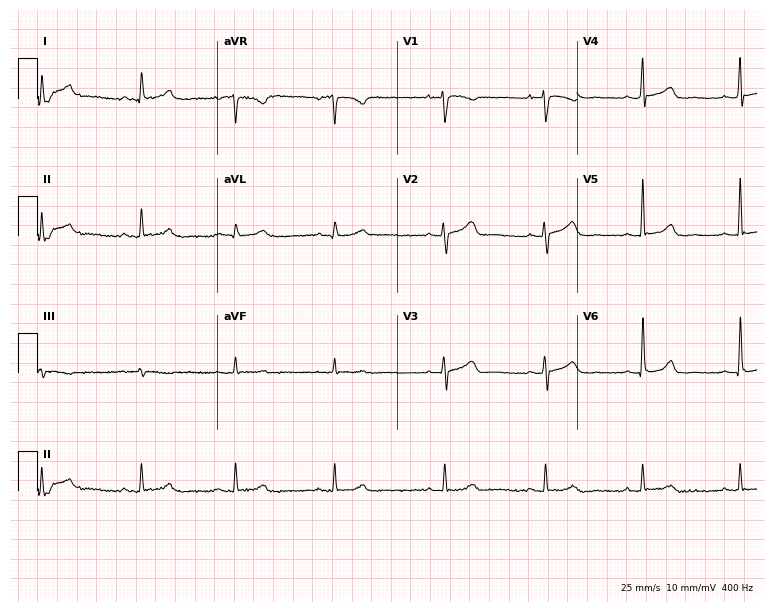
ECG (7.3-second recording at 400 Hz) — a 47-year-old female patient. Labelled as a normal ECG.